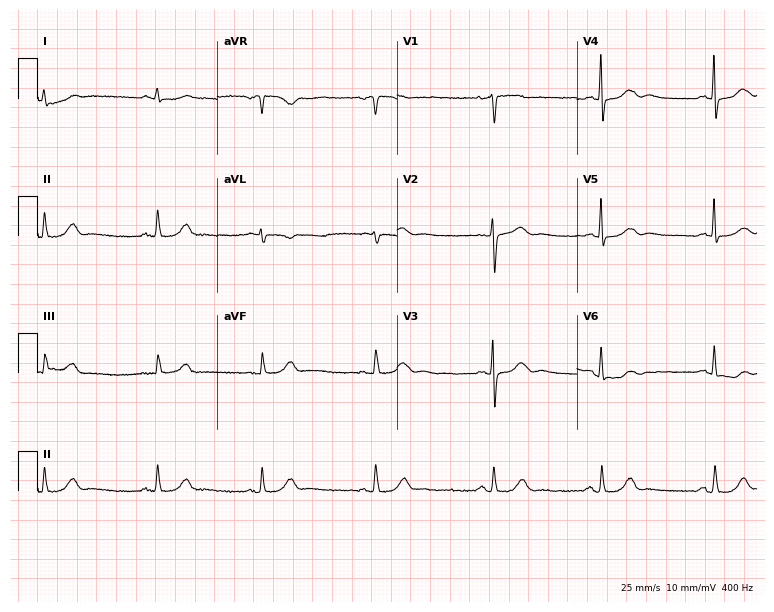
ECG — a 75-year-old female patient. Screened for six findings — first-degree AV block, right bundle branch block, left bundle branch block, sinus bradycardia, atrial fibrillation, sinus tachycardia — none is recorded.